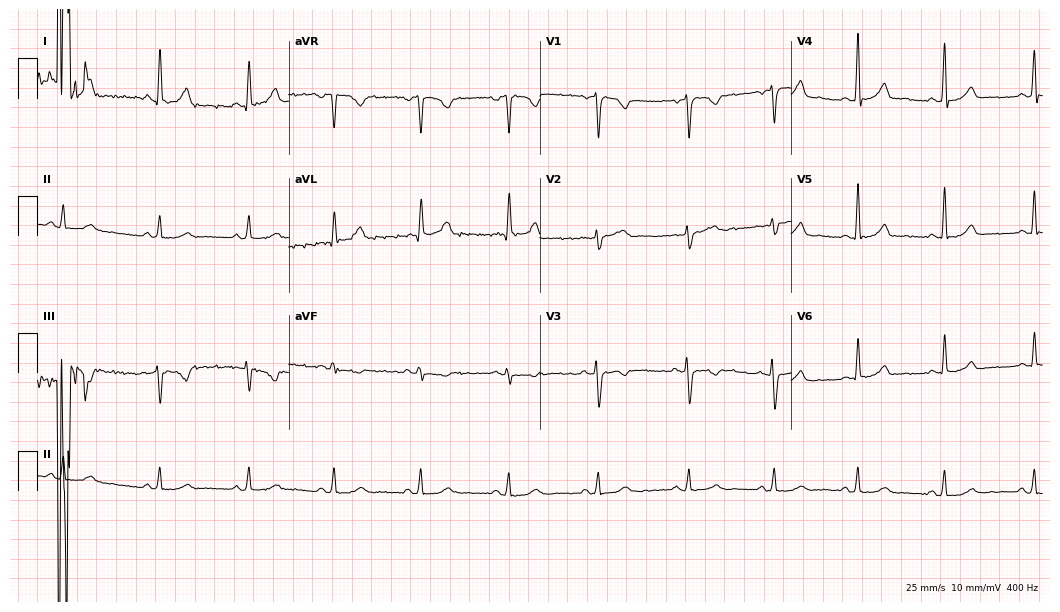
12-lead ECG from a female, 42 years old (10.2-second recording at 400 Hz). Recorded interpretation: within normal limits.